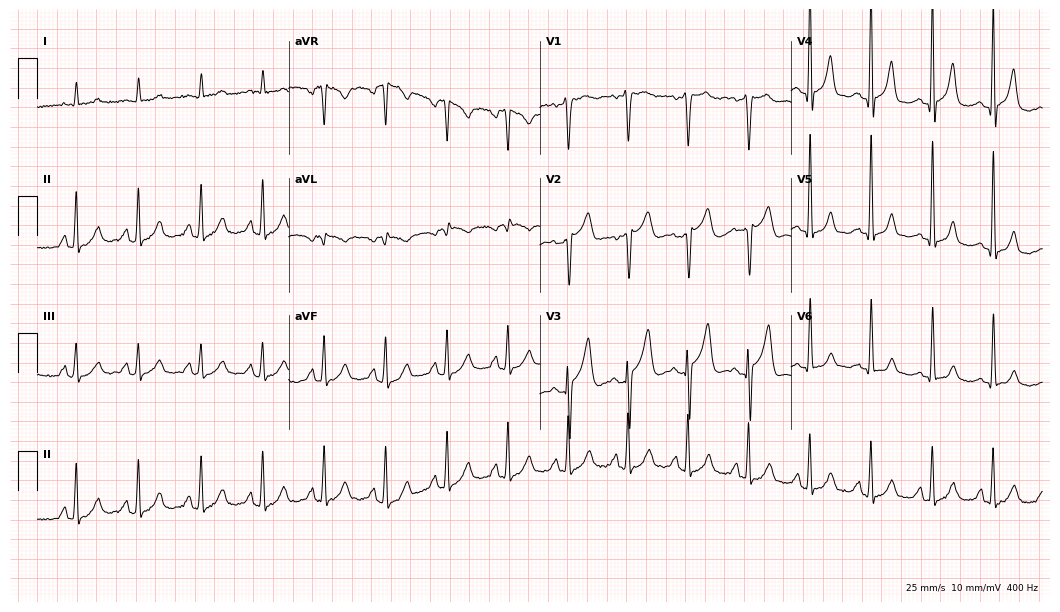
ECG (10.2-second recording at 400 Hz) — a man, 61 years old. Screened for six findings — first-degree AV block, right bundle branch block, left bundle branch block, sinus bradycardia, atrial fibrillation, sinus tachycardia — none is recorded.